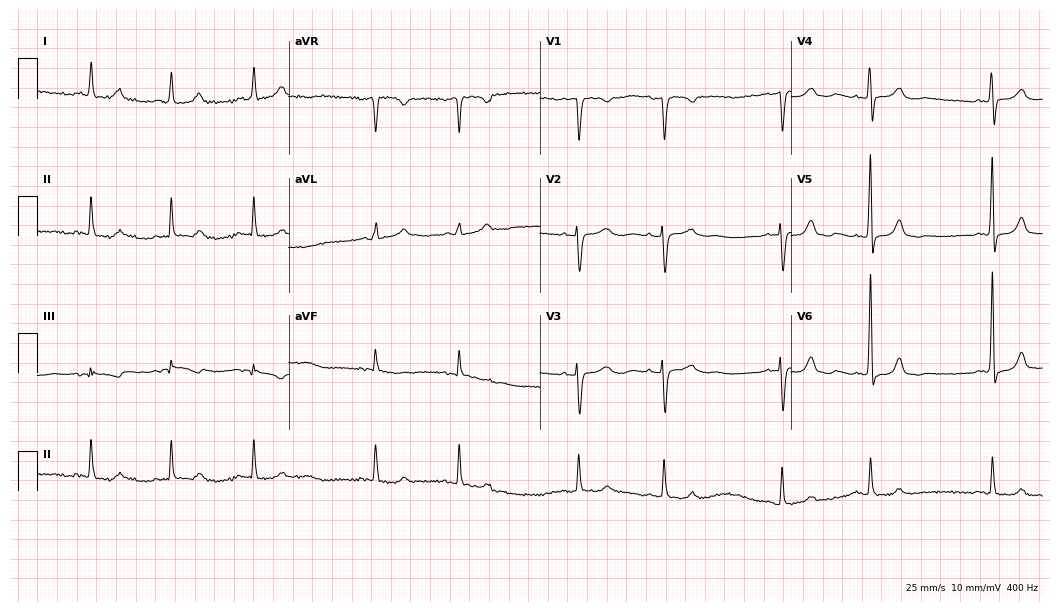
Electrocardiogram (10.2-second recording at 400 Hz), an 82-year-old female. Overall reading on record: normal ECG.